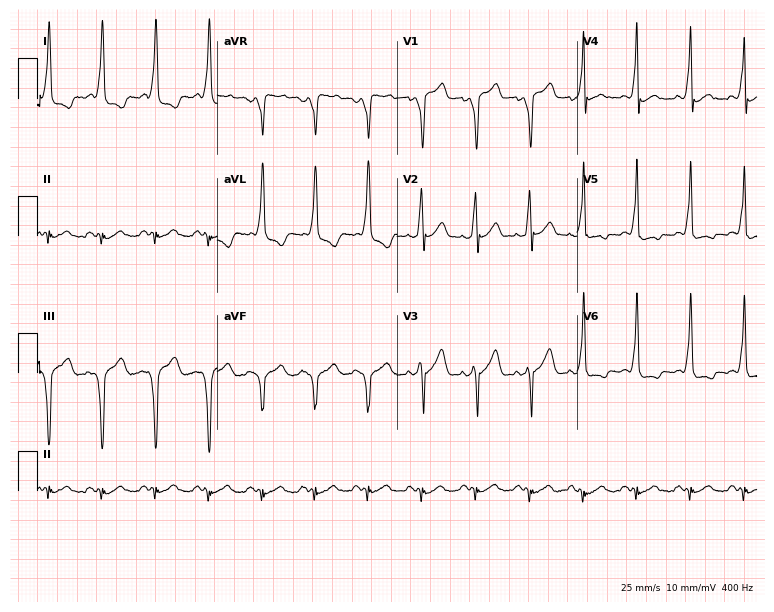
Standard 12-lead ECG recorded from a female patient, 51 years old. None of these six findings is recorded: first-degree AV block, right bundle branch block, left bundle branch block, sinus bradycardia, atrial fibrillation, sinus tachycardia. Only these six findings were labelled.